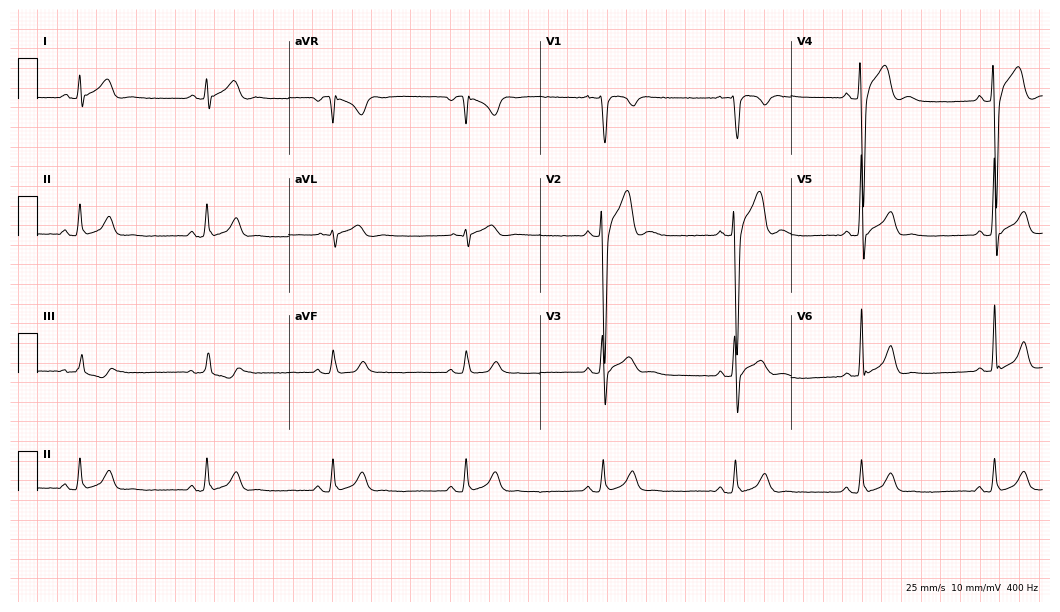
Resting 12-lead electrocardiogram (10.2-second recording at 400 Hz). Patient: a man, 32 years old. The tracing shows sinus bradycardia (a sinus rate of 50 beats per minute or less).